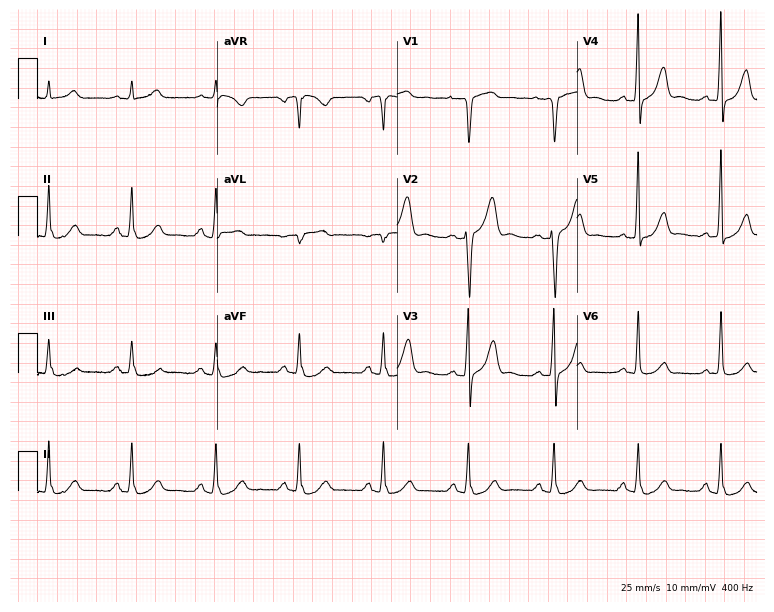
Resting 12-lead electrocardiogram. Patient: a 53-year-old male. None of these six findings is recorded: first-degree AV block, right bundle branch block (RBBB), left bundle branch block (LBBB), sinus bradycardia, atrial fibrillation (AF), sinus tachycardia. Findings outside these six are not listed.